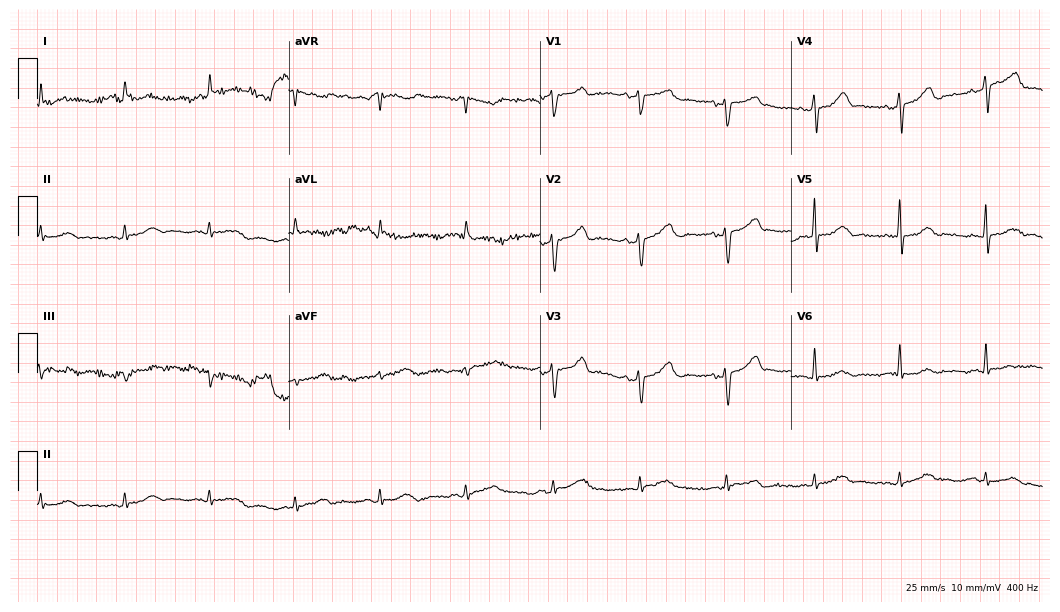
12-lead ECG (10.2-second recording at 400 Hz) from a 75-year-old female. Labelled as a normal ECG.